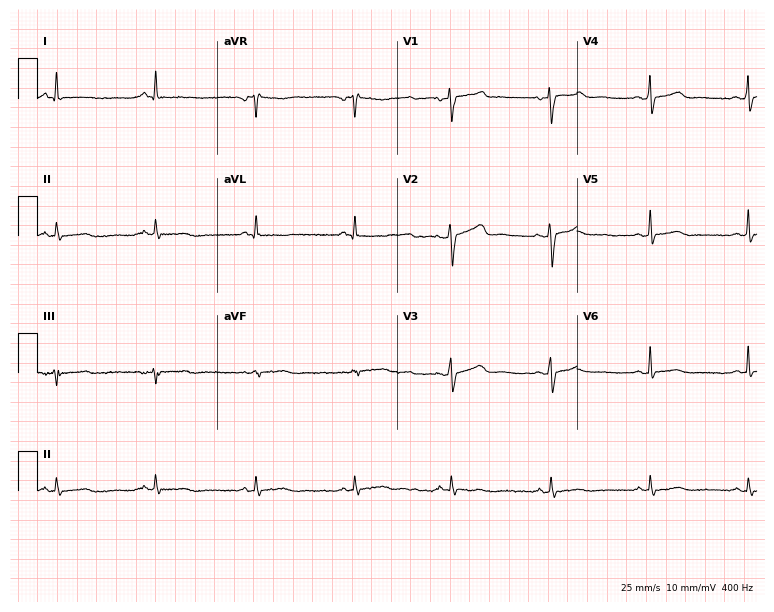
Resting 12-lead electrocardiogram (7.3-second recording at 400 Hz). Patient: a 57-year-old female. None of these six findings is recorded: first-degree AV block, right bundle branch block (RBBB), left bundle branch block (LBBB), sinus bradycardia, atrial fibrillation (AF), sinus tachycardia.